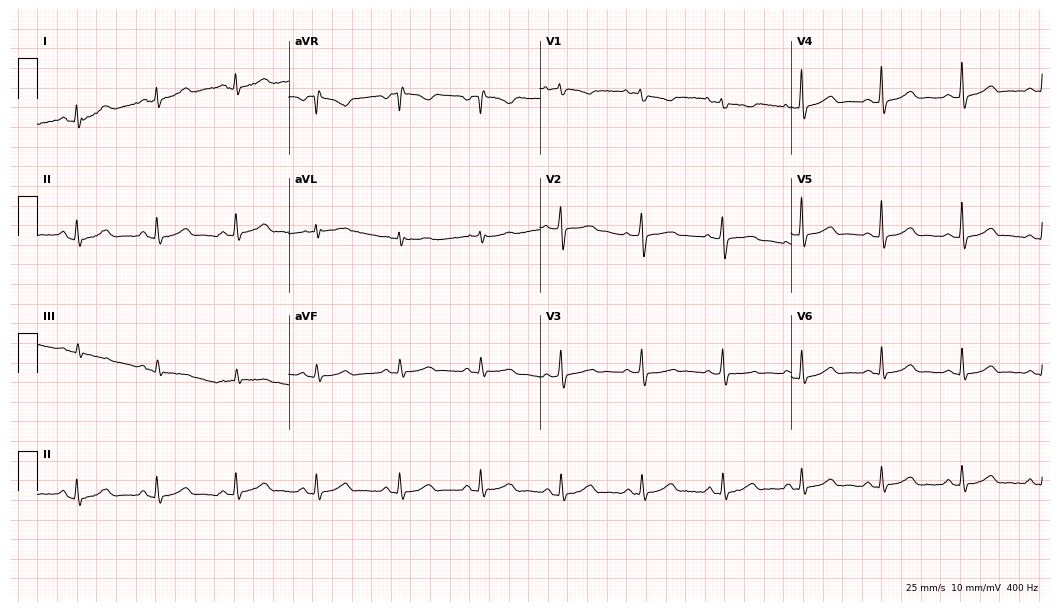
12-lead ECG from a woman, 48 years old (10.2-second recording at 400 Hz). Recorded interpretation: within normal limits.